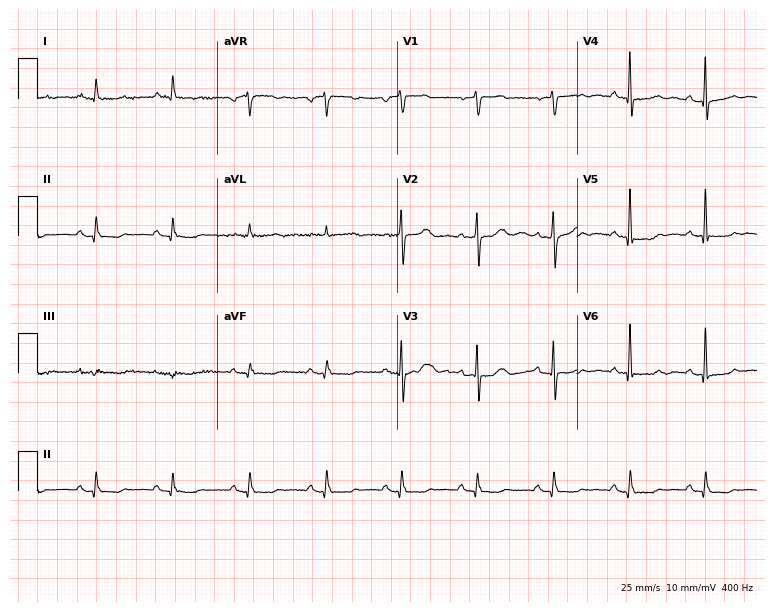
12-lead ECG from a 76-year-old male. No first-degree AV block, right bundle branch block (RBBB), left bundle branch block (LBBB), sinus bradycardia, atrial fibrillation (AF) or sinus tachycardia recorded for this tracing. Only these six findings were labelled.